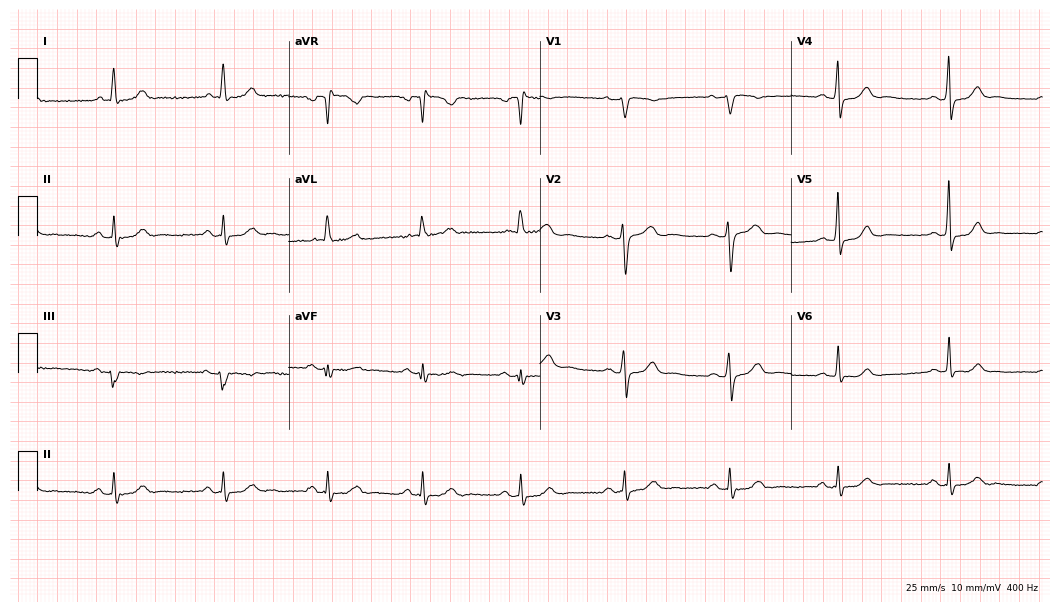
Electrocardiogram (10.2-second recording at 400 Hz), a 68-year-old female. Of the six screened findings (first-degree AV block, right bundle branch block, left bundle branch block, sinus bradycardia, atrial fibrillation, sinus tachycardia), none is recorded.